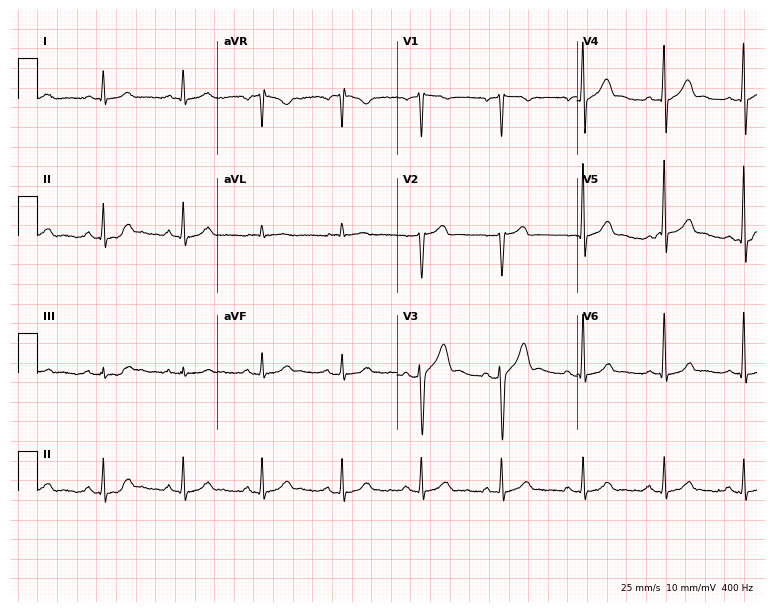
ECG — a 37-year-old man. Labelled as a normal ECG.